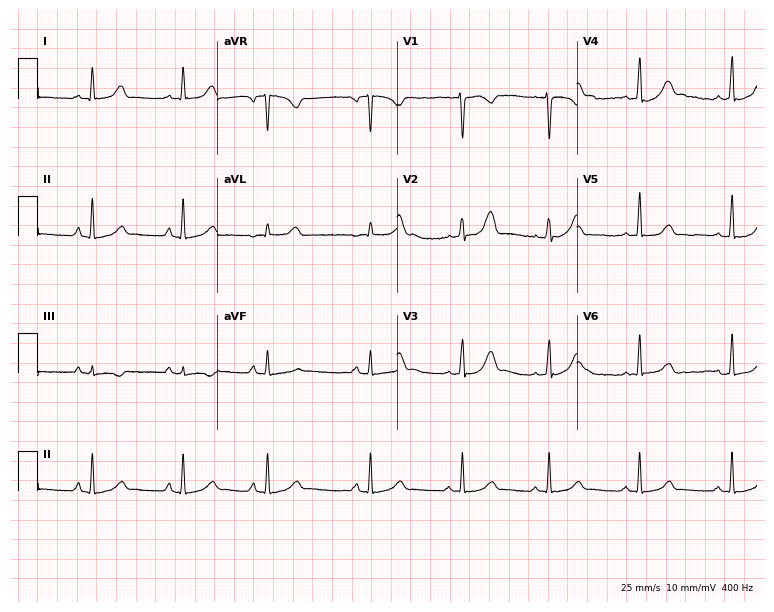
Electrocardiogram (7.3-second recording at 400 Hz), a female, 24 years old. Of the six screened findings (first-degree AV block, right bundle branch block, left bundle branch block, sinus bradycardia, atrial fibrillation, sinus tachycardia), none is recorded. Only these six findings were labelled.